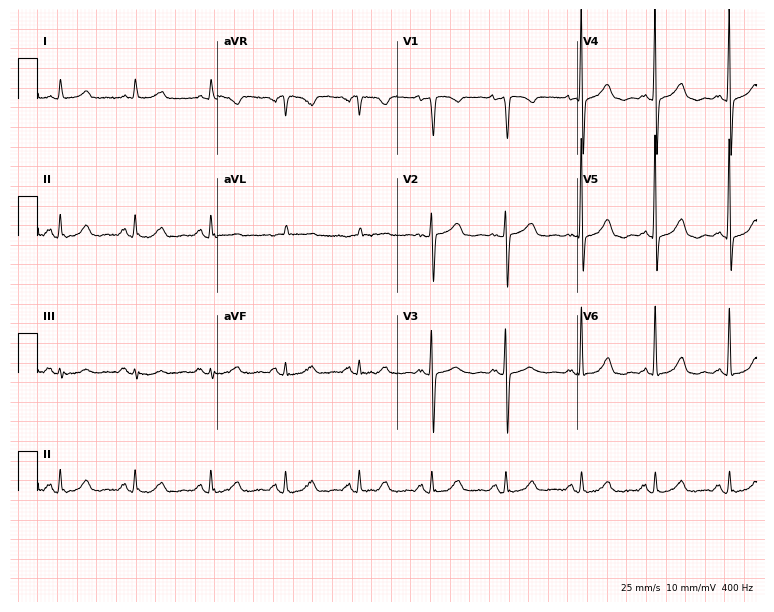
12-lead ECG from a 72-year-old woman. Labelled as a normal ECG.